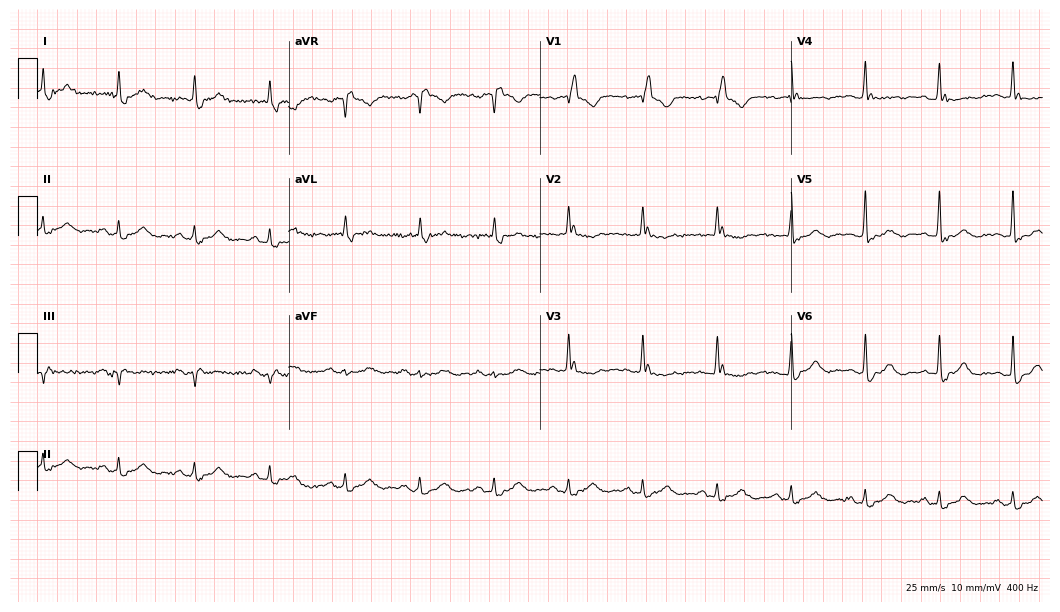
ECG (10.2-second recording at 400 Hz) — a female, 80 years old. Findings include right bundle branch block.